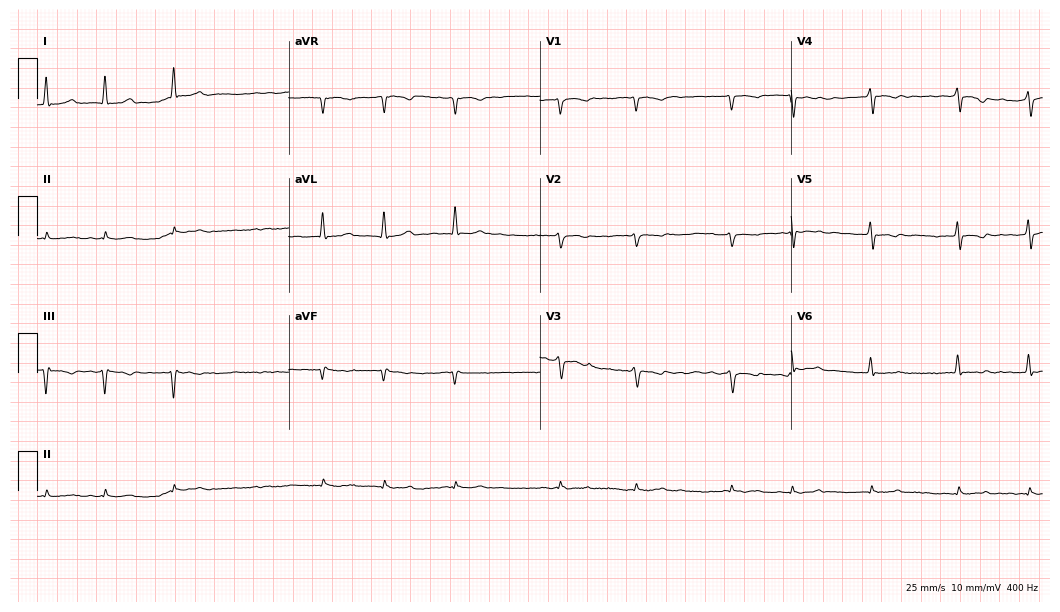
Electrocardiogram (10.2-second recording at 400 Hz), a man, 66 years old. Interpretation includes atrial fibrillation.